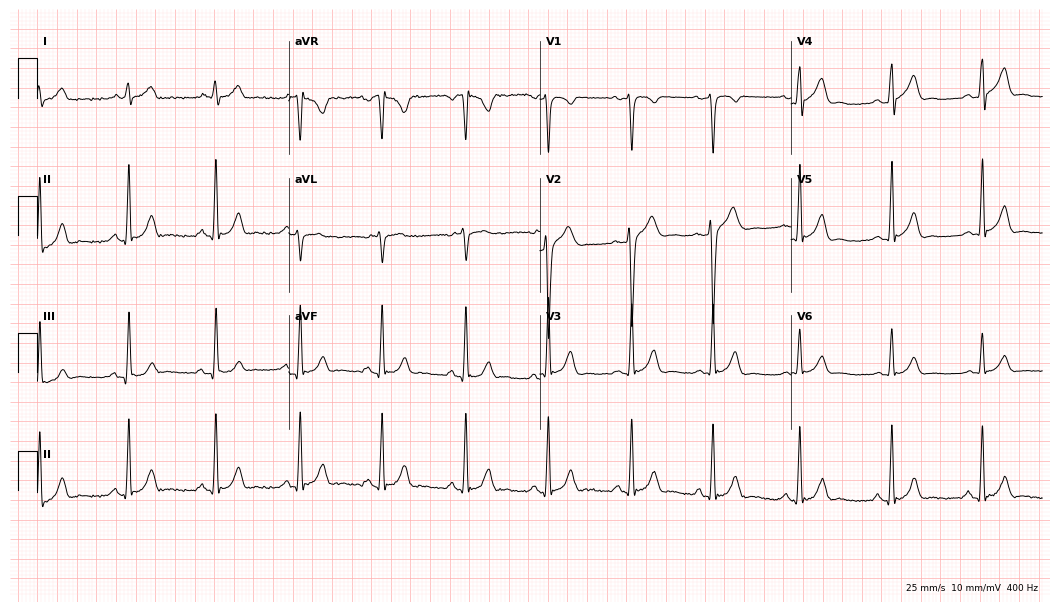
Standard 12-lead ECG recorded from a man, 34 years old (10.2-second recording at 400 Hz). Read as a normal ECG.